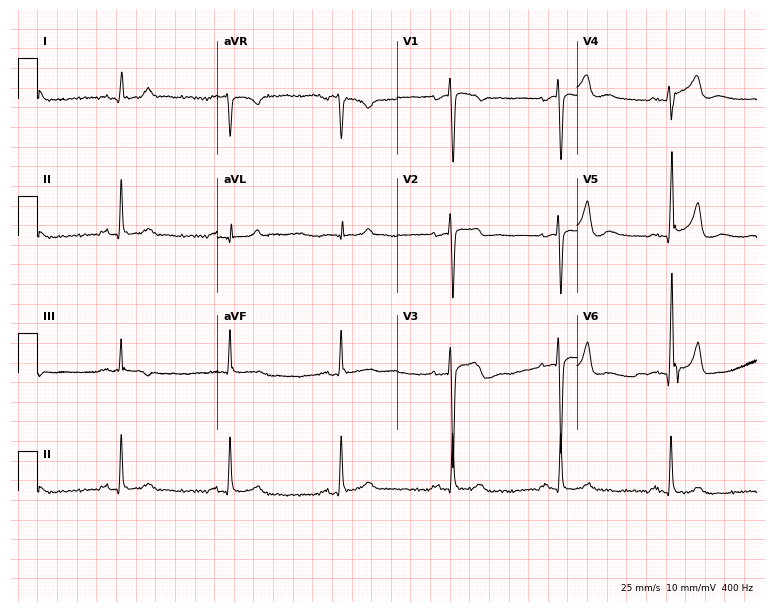
12-lead ECG (7.3-second recording at 400 Hz) from a 47-year-old man. Screened for six findings — first-degree AV block, right bundle branch block, left bundle branch block, sinus bradycardia, atrial fibrillation, sinus tachycardia — none is recorded.